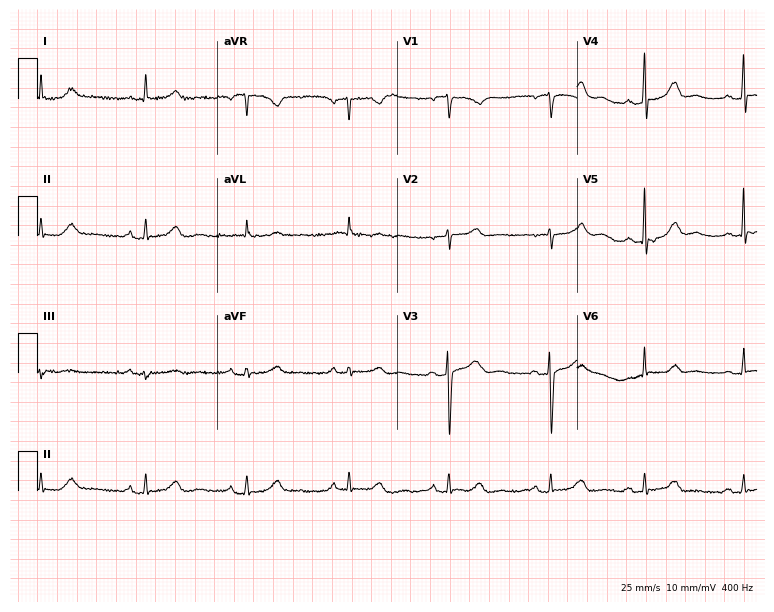
Standard 12-lead ECG recorded from an 80-year-old female patient. None of these six findings is recorded: first-degree AV block, right bundle branch block (RBBB), left bundle branch block (LBBB), sinus bradycardia, atrial fibrillation (AF), sinus tachycardia.